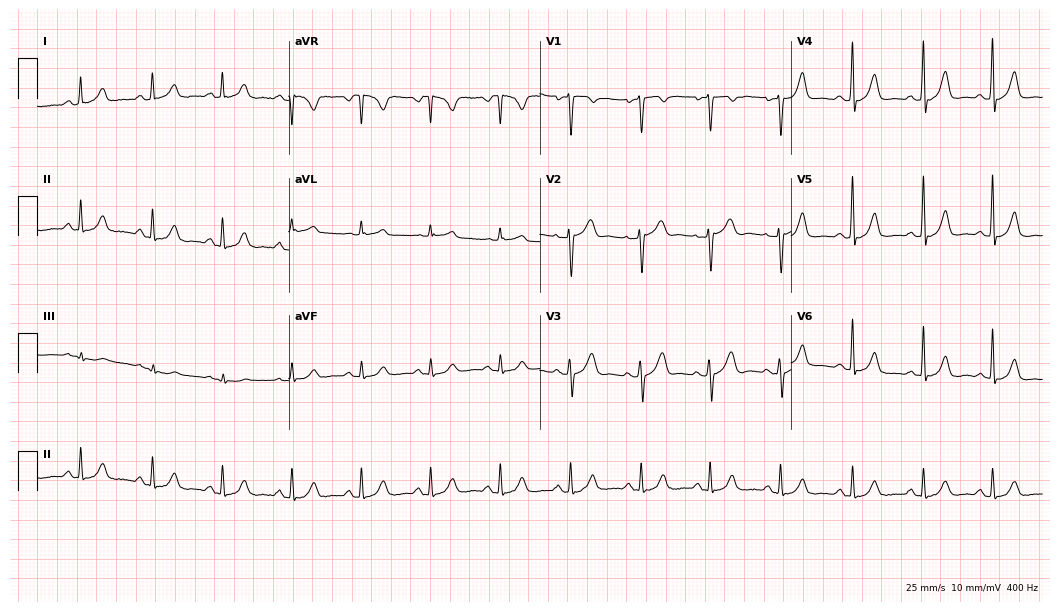
Resting 12-lead electrocardiogram. Patient: a 49-year-old female. Read as a normal ECG.